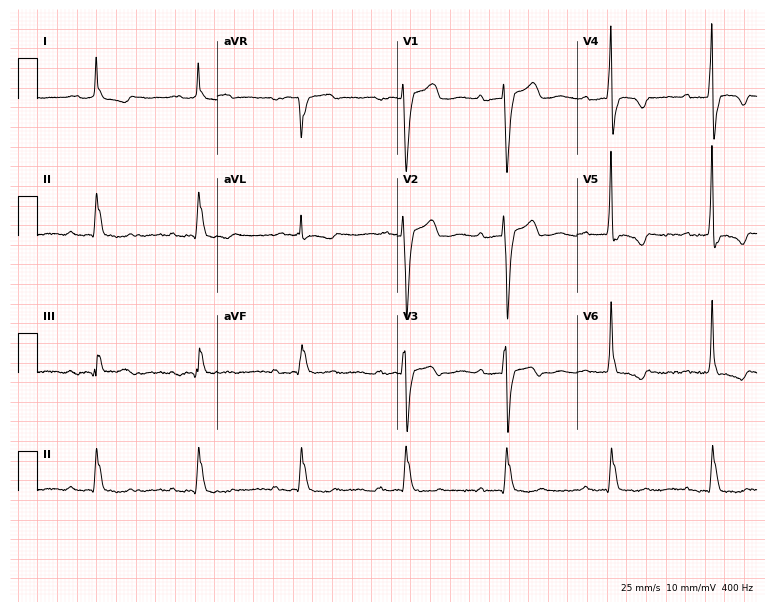
Standard 12-lead ECG recorded from an 85-year-old male patient. The tracing shows first-degree AV block, left bundle branch block (LBBB).